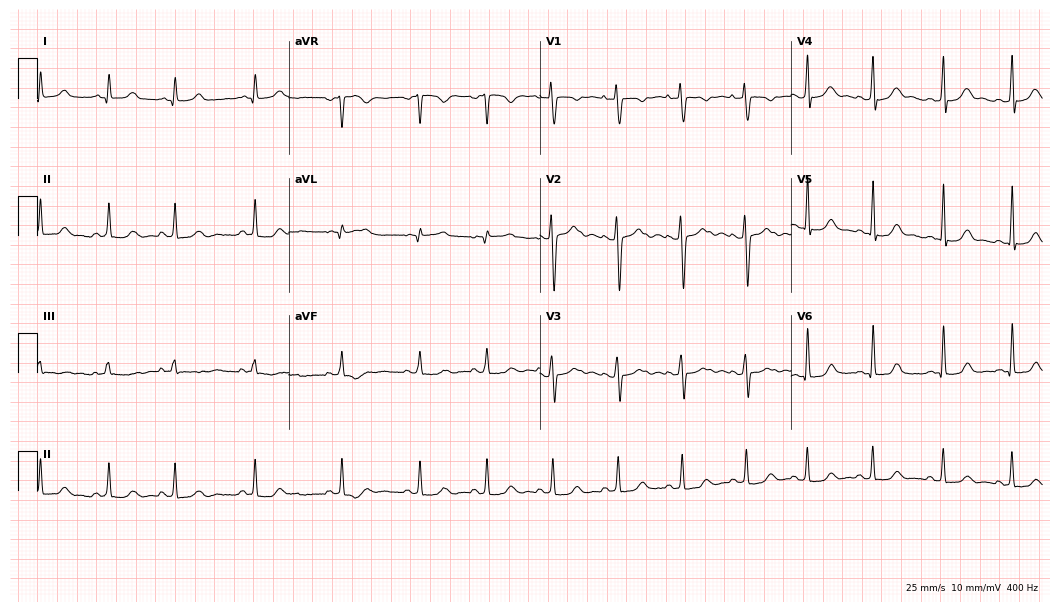
12-lead ECG from an 18-year-old female patient (10.2-second recording at 400 Hz). Recorded interpretation: within normal limits.